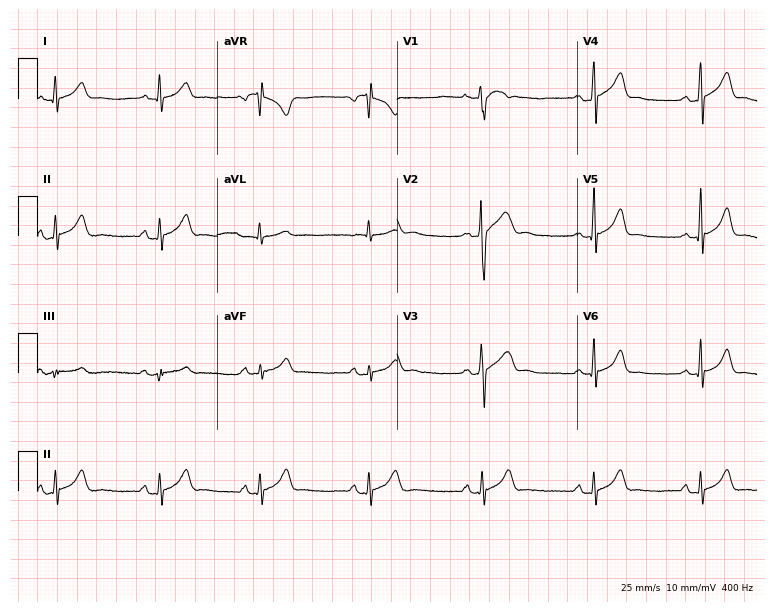
12-lead ECG from a man, 24 years old. Labelled as a normal ECG.